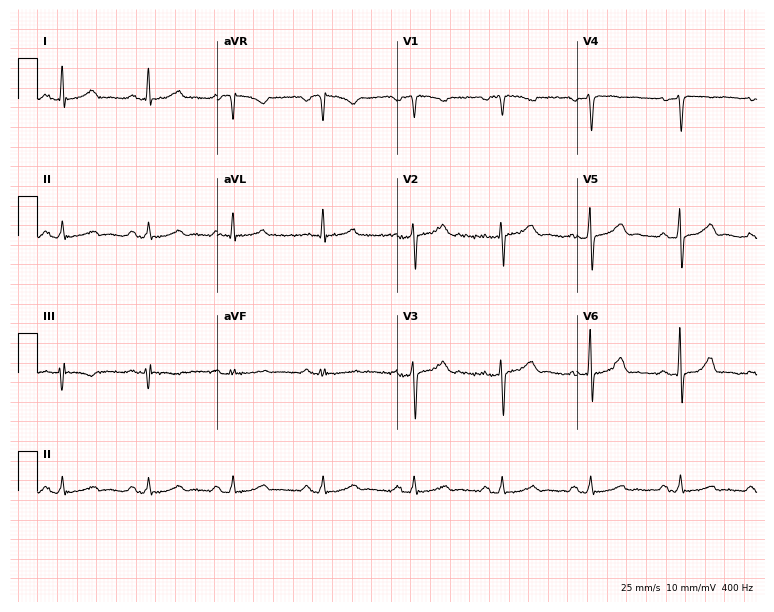
12-lead ECG from a female, 45 years old (7.3-second recording at 400 Hz). Recorded interpretation: within normal limits.